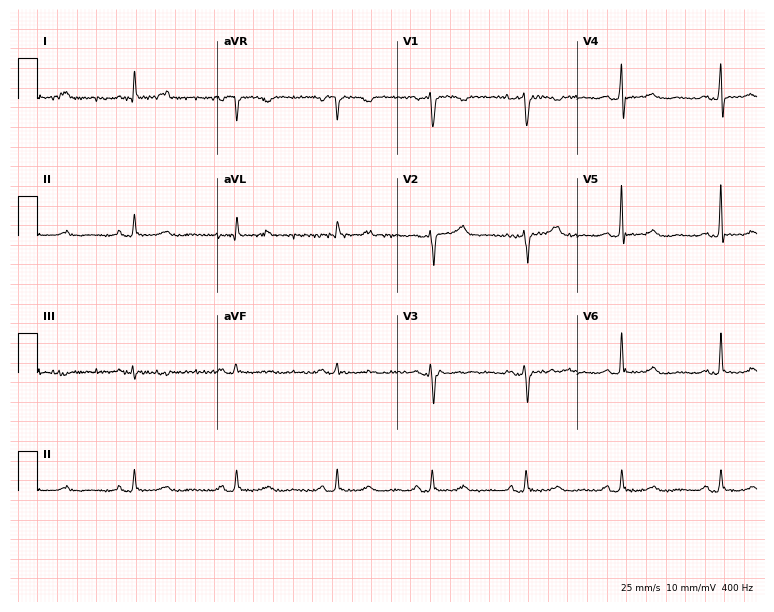
Standard 12-lead ECG recorded from a 66-year-old female (7.3-second recording at 400 Hz). Read as a normal ECG.